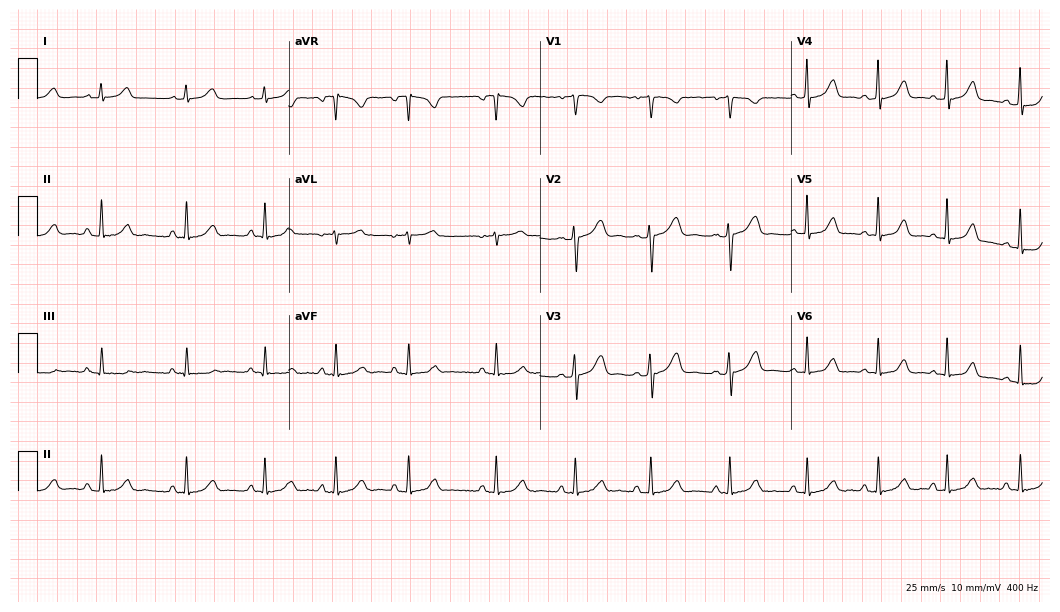
12-lead ECG from a 32-year-old woman (10.2-second recording at 400 Hz). Recorded interpretation: within normal limits.